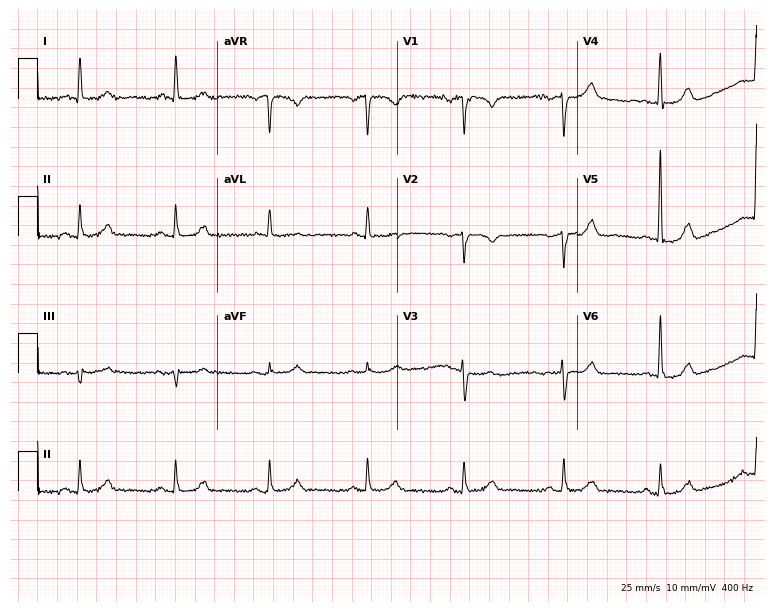
12-lead ECG (7.3-second recording at 400 Hz) from a female patient, 77 years old. Screened for six findings — first-degree AV block, right bundle branch block, left bundle branch block, sinus bradycardia, atrial fibrillation, sinus tachycardia — none is recorded. Other findings, if any, are not listed.